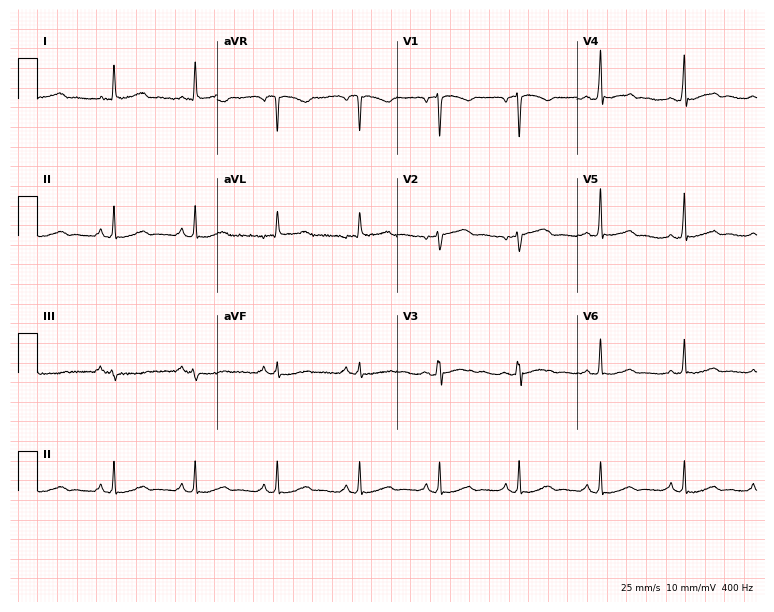
ECG (7.3-second recording at 400 Hz) — a woman, 43 years old. Screened for six findings — first-degree AV block, right bundle branch block, left bundle branch block, sinus bradycardia, atrial fibrillation, sinus tachycardia — none is recorded. Findings outside these six are not listed.